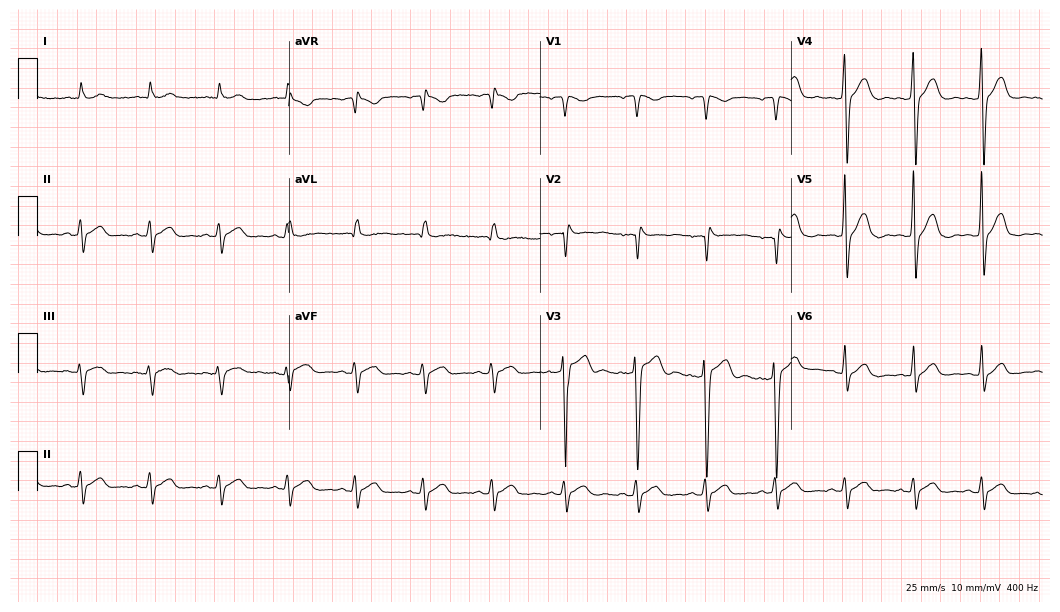
Standard 12-lead ECG recorded from a 55-year-old female (10.2-second recording at 400 Hz). None of these six findings is recorded: first-degree AV block, right bundle branch block, left bundle branch block, sinus bradycardia, atrial fibrillation, sinus tachycardia.